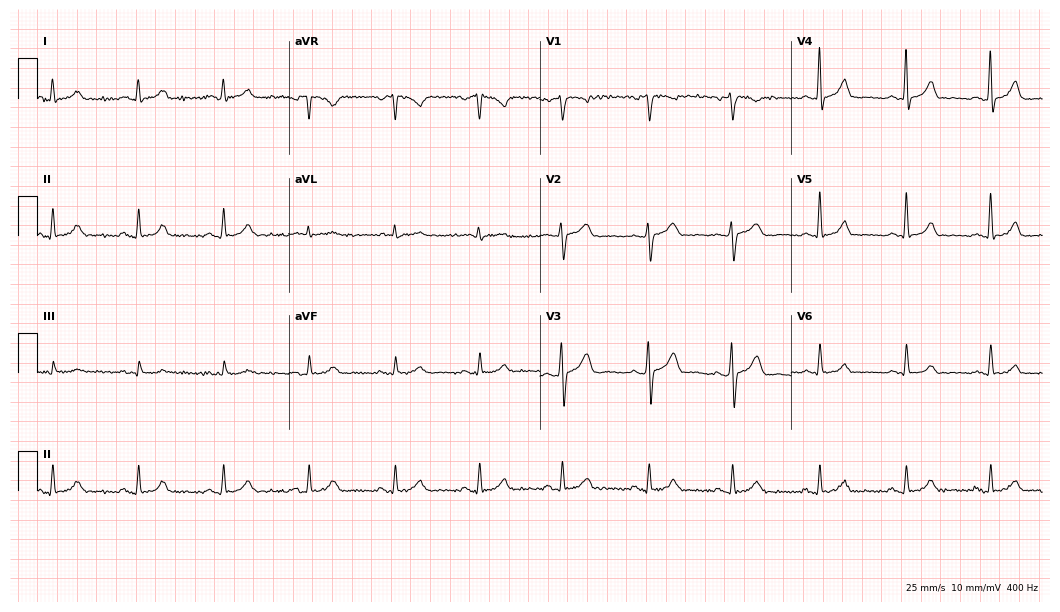
ECG (10.2-second recording at 400 Hz) — a man, 54 years old. Labelled as a normal ECG.